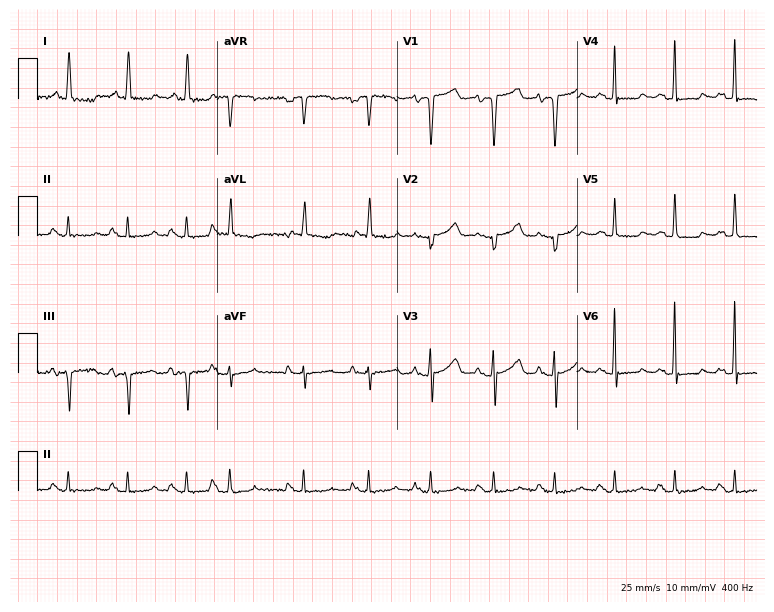
Resting 12-lead electrocardiogram (7.3-second recording at 400 Hz). Patient: an 81-year-old woman. None of these six findings is recorded: first-degree AV block, right bundle branch block, left bundle branch block, sinus bradycardia, atrial fibrillation, sinus tachycardia. Other findings, if any, are not listed.